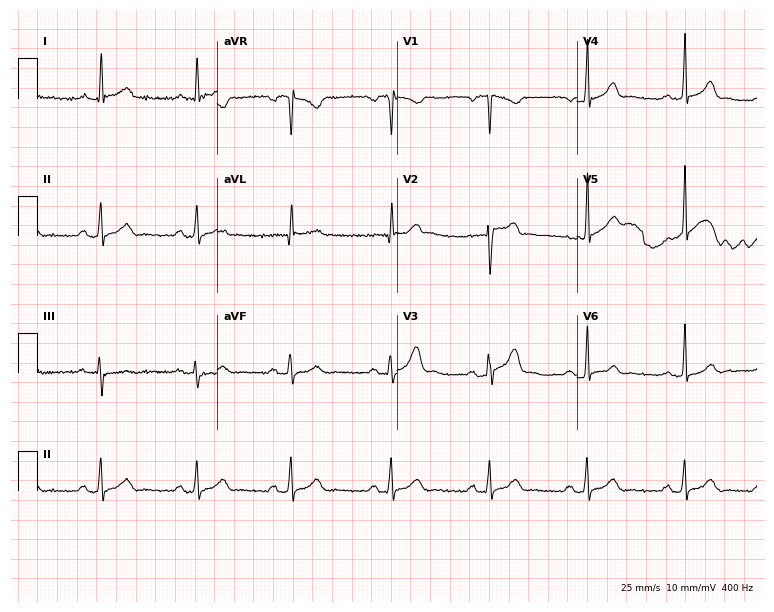
Resting 12-lead electrocardiogram (7.3-second recording at 400 Hz). Patient: a man, 40 years old. None of these six findings is recorded: first-degree AV block, right bundle branch block, left bundle branch block, sinus bradycardia, atrial fibrillation, sinus tachycardia. Other findings, if any, are not listed.